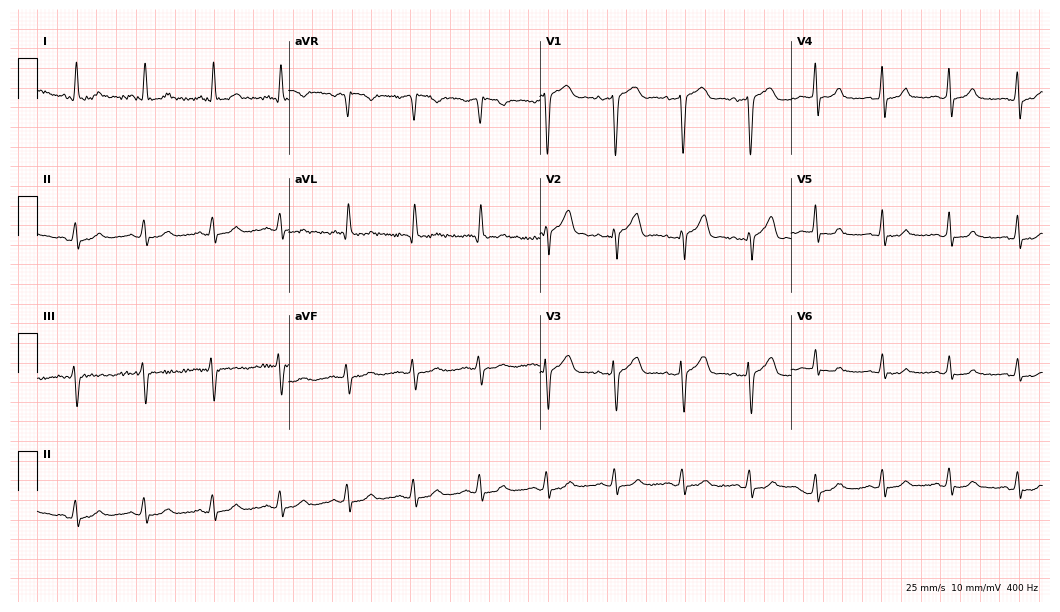
12-lead ECG (10.2-second recording at 400 Hz) from a 61-year-old male patient. Labelled as a normal ECG.